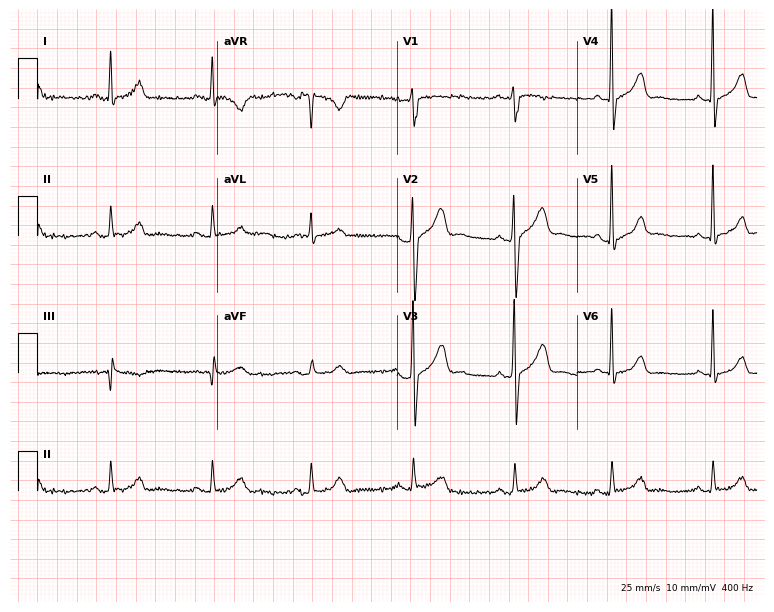
Standard 12-lead ECG recorded from a 42-year-old female. None of these six findings is recorded: first-degree AV block, right bundle branch block (RBBB), left bundle branch block (LBBB), sinus bradycardia, atrial fibrillation (AF), sinus tachycardia. Findings outside these six are not listed.